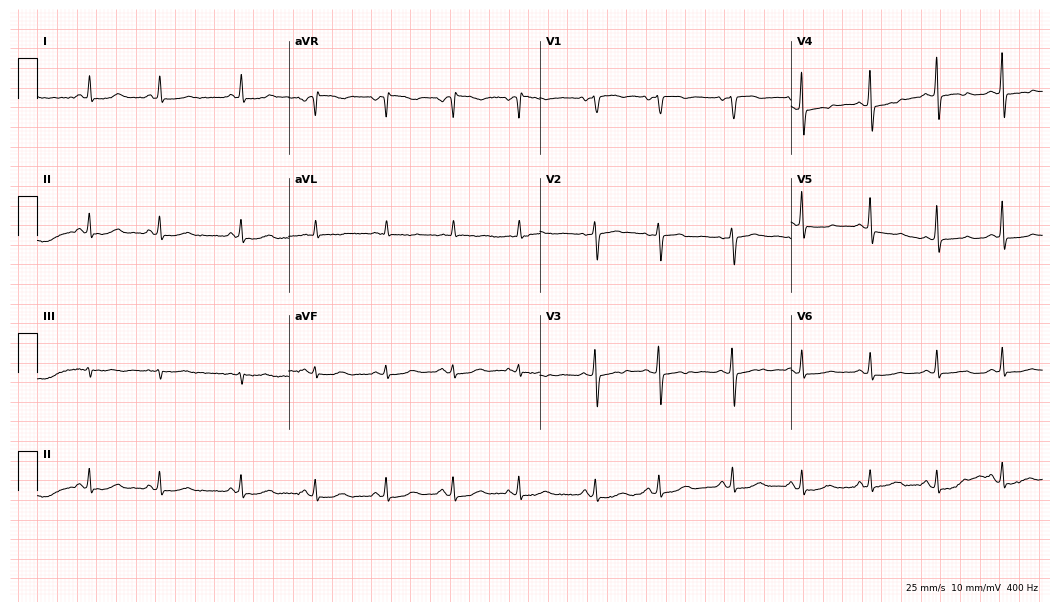
ECG — a woman, 76 years old. Screened for six findings — first-degree AV block, right bundle branch block (RBBB), left bundle branch block (LBBB), sinus bradycardia, atrial fibrillation (AF), sinus tachycardia — none is recorded.